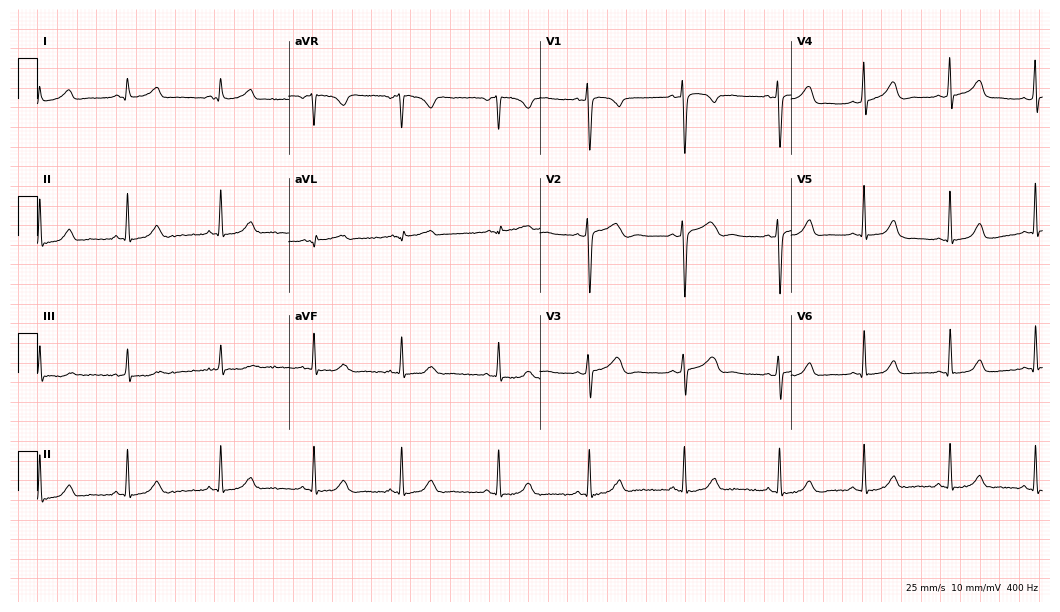
Electrocardiogram, a female patient, 30 years old. Overall reading on record: normal ECG.